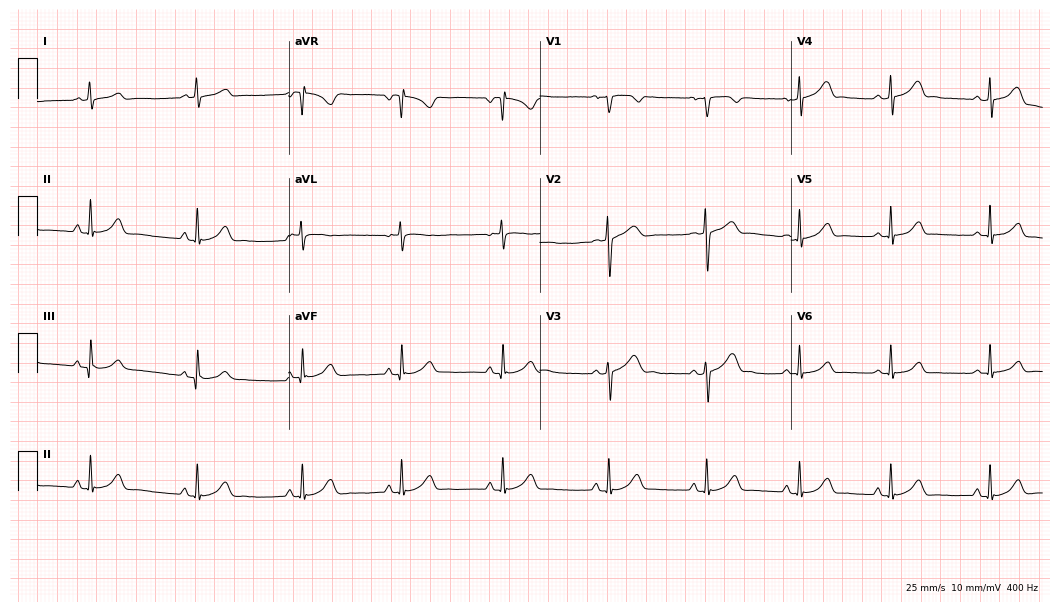
Electrocardiogram (10.2-second recording at 400 Hz), a female patient, 25 years old. Of the six screened findings (first-degree AV block, right bundle branch block, left bundle branch block, sinus bradycardia, atrial fibrillation, sinus tachycardia), none is recorded. Other findings, if any, are not listed.